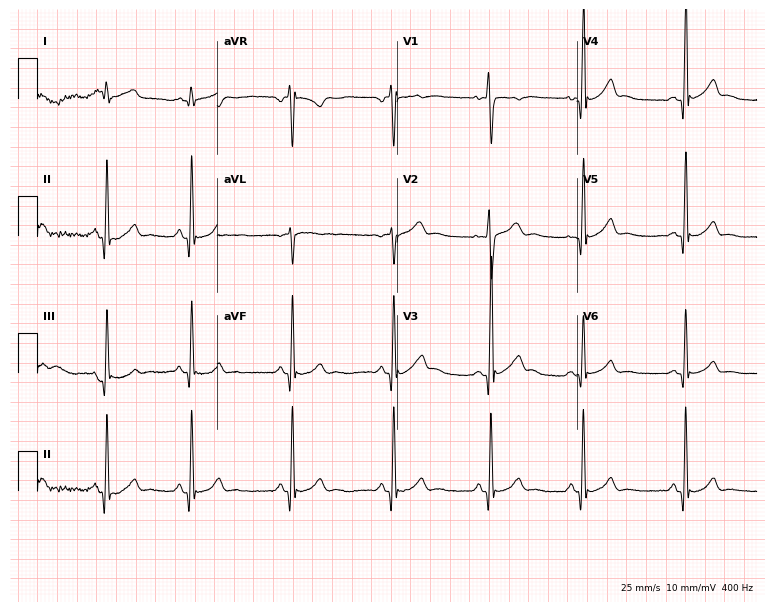
ECG (7.3-second recording at 400 Hz) — a 17-year-old male. Labelled as a normal ECG.